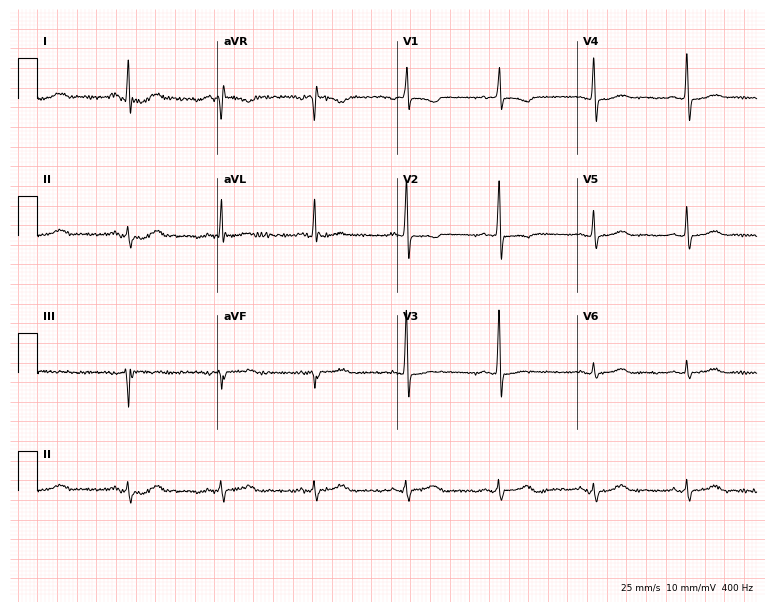
Standard 12-lead ECG recorded from a female, 73 years old. None of these six findings is recorded: first-degree AV block, right bundle branch block, left bundle branch block, sinus bradycardia, atrial fibrillation, sinus tachycardia. Other findings, if any, are not listed.